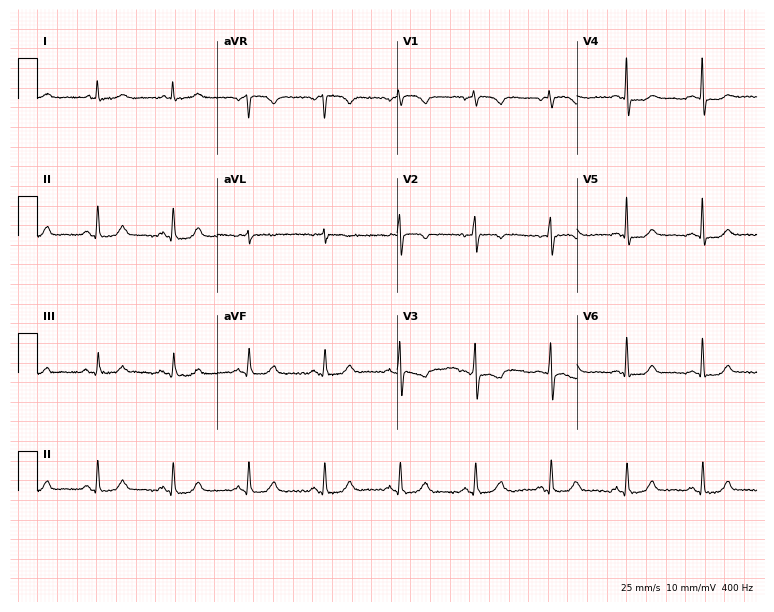
Resting 12-lead electrocardiogram. Patient: a female, 75 years old. Read as a normal ECG.